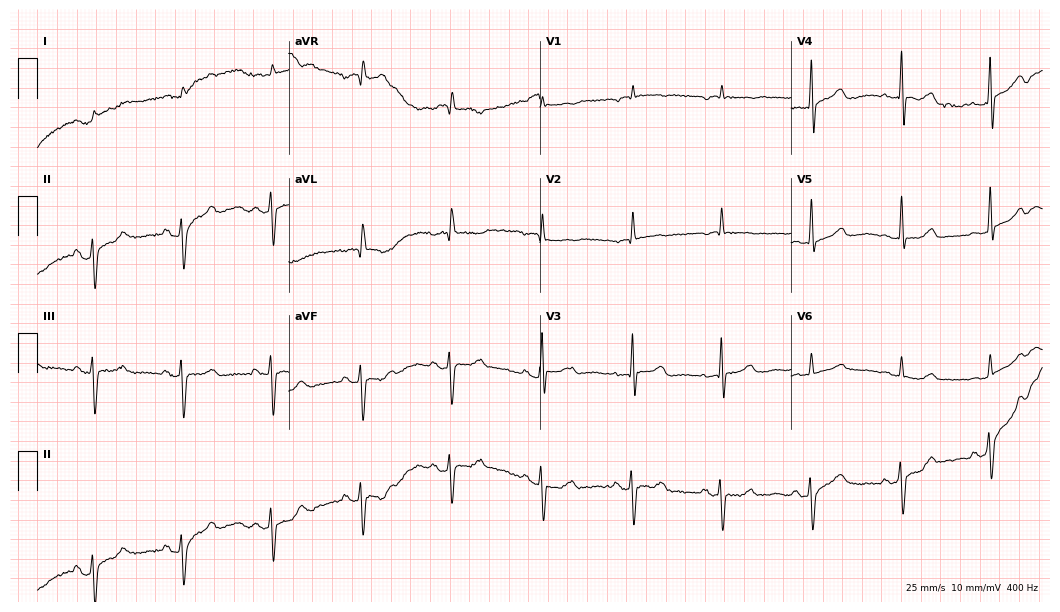
ECG — an 83-year-old man. Screened for six findings — first-degree AV block, right bundle branch block (RBBB), left bundle branch block (LBBB), sinus bradycardia, atrial fibrillation (AF), sinus tachycardia — none is recorded. Findings outside these six are not listed.